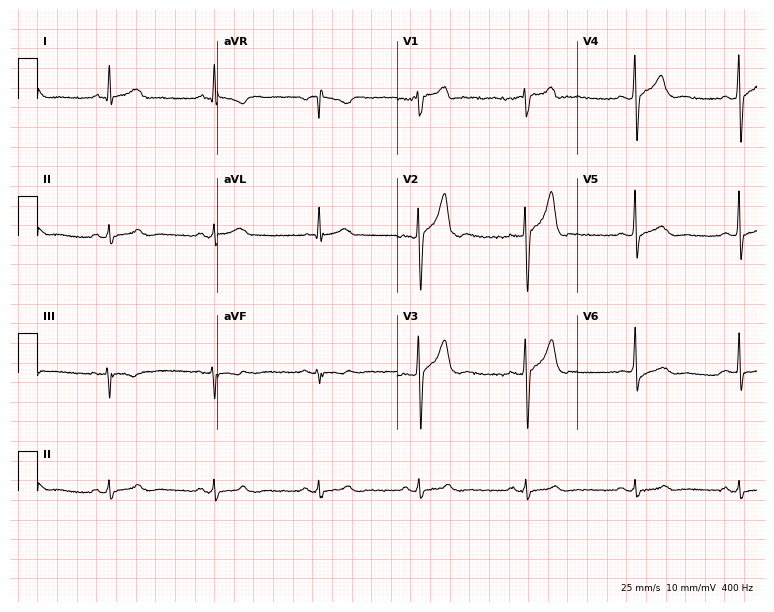
12-lead ECG from a 41-year-old male patient. Labelled as a normal ECG.